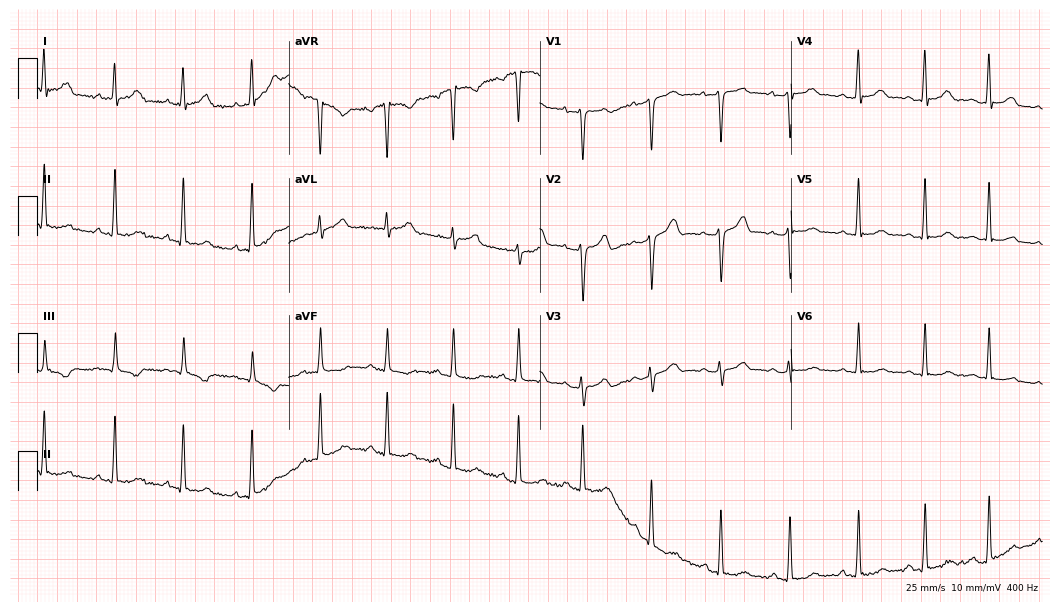
ECG — a 63-year-old woman. Screened for six findings — first-degree AV block, right bundle branch block, left bundle branch block, sinus bradycardia, atrial fibrillation, sinus tachycardia — none is recorded. Only these six findings were labelled.